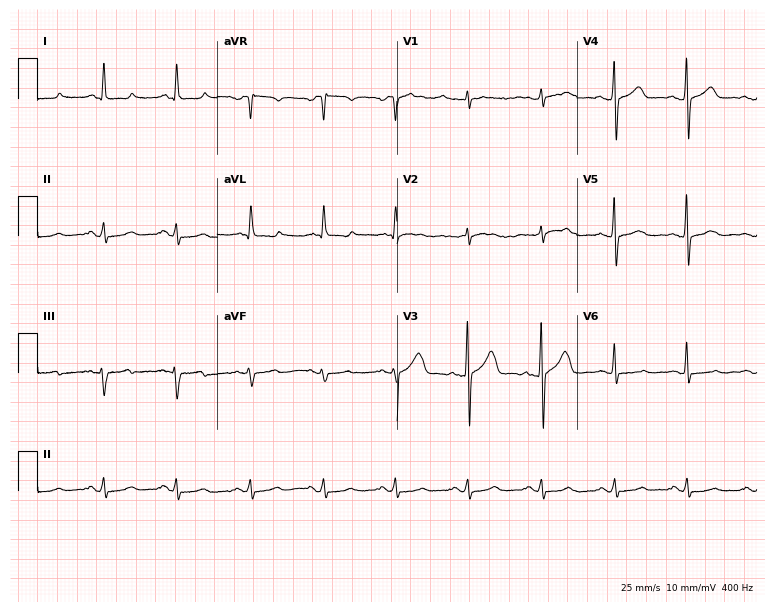
Standard 12-lead ECG recorded from a 72-year-old male. Read as a normal ECG.